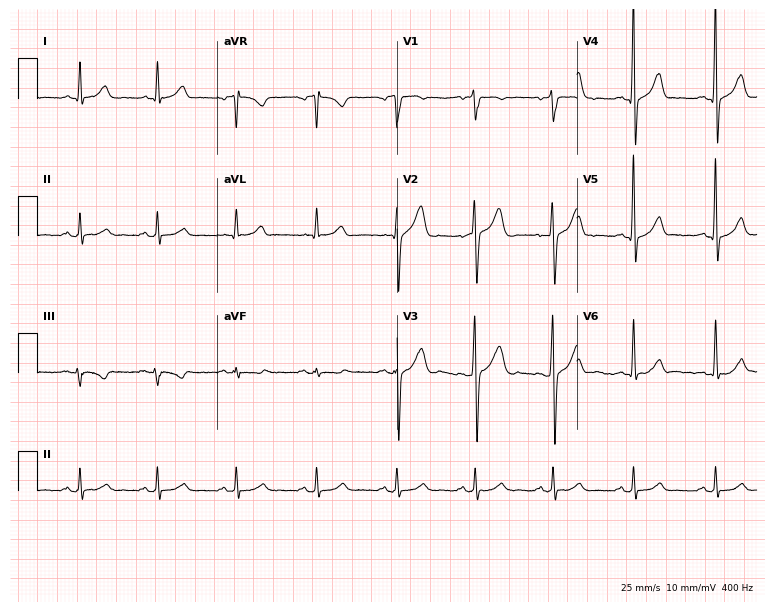
12-lead ECG from a female, 53 years old. Labelled as a normal ECG.